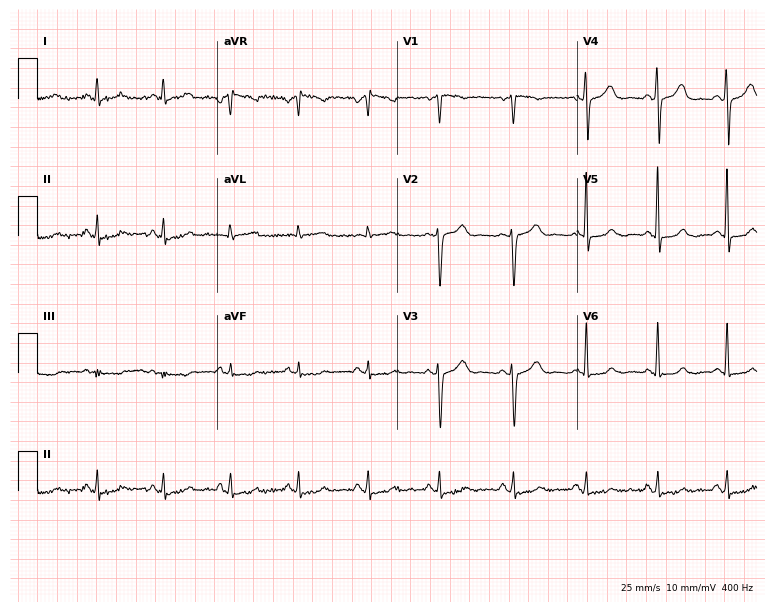
ECG — a 53-year-old female. Screened for six findings — first-degree AV block, right bundle branch block (RBBB), left bundle branch block (LBBB), sinus bradycardia, atrial fibrillation (AF), sinus tachycardia — none is recorded.